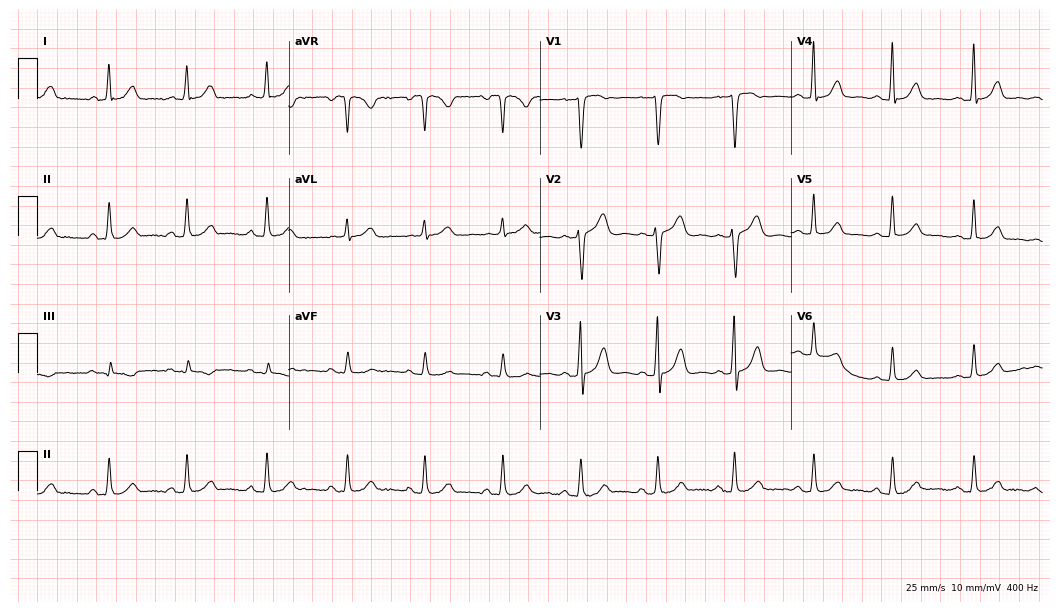
ECG — a 61-year-old female patient. Labelled as a normal ECG.